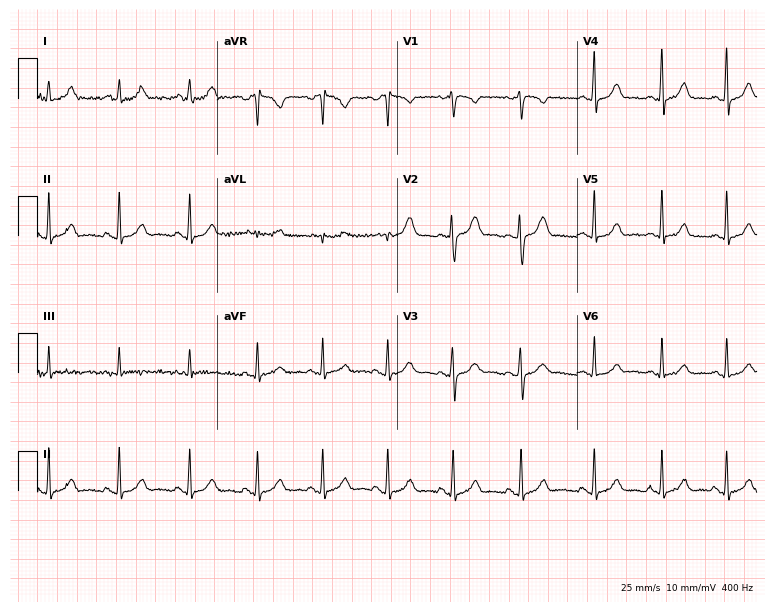
Electrocardiogram (7.3-second recording at 400 Hz), a female, 23 years old. Overall reading on record: normal ECG.